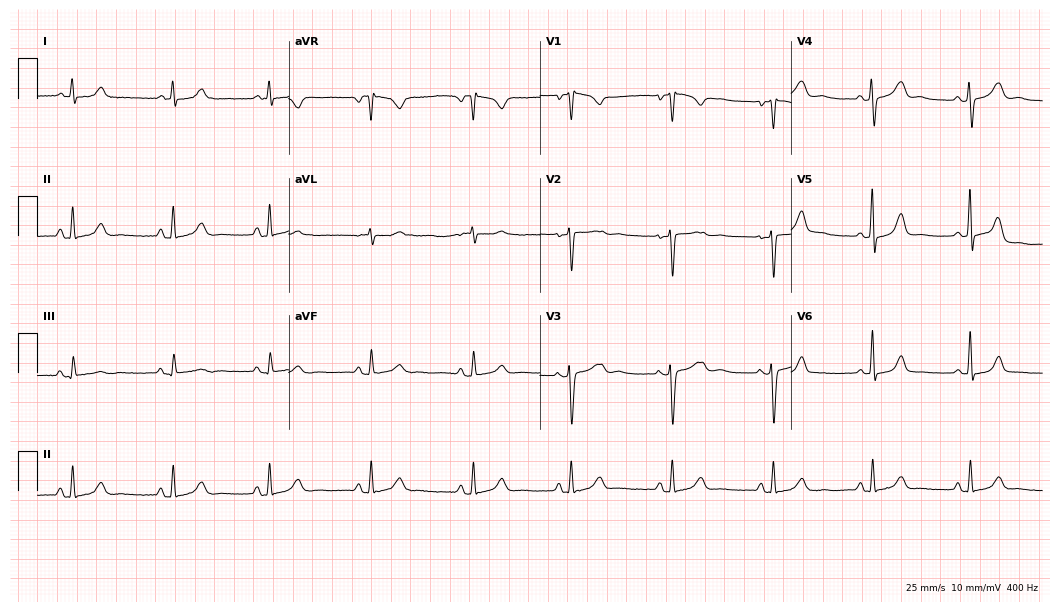
Resting 12-lead electrocardiogram (10.2-second recording at 400 Hz). Patient: a 53-year-old female. Read as a normal ECG.